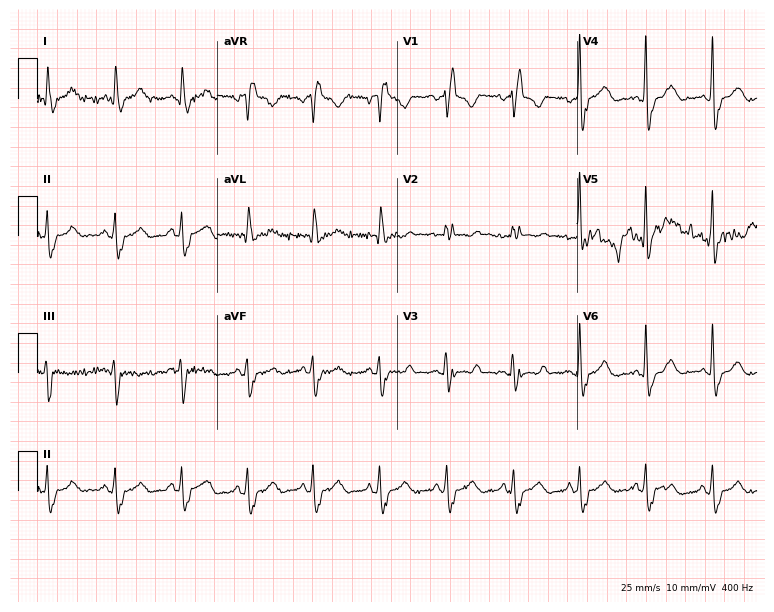
12-lead ECG from a female patient, 45 years old. Shows right bundle branch block (RBBB).